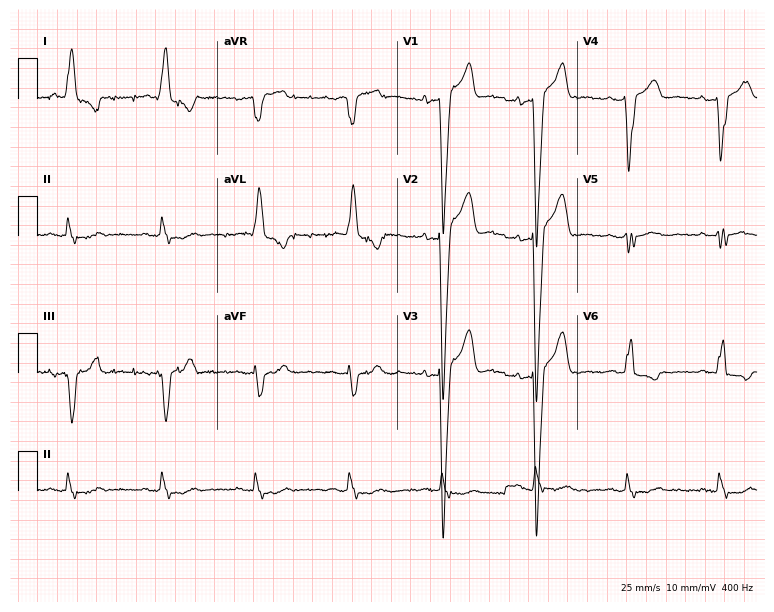
Resting 12-lead electrocardiogram (7.3-second recording at 400 Hz). Patient: a male, 83 years old. The tracing shows left bundle branch block.